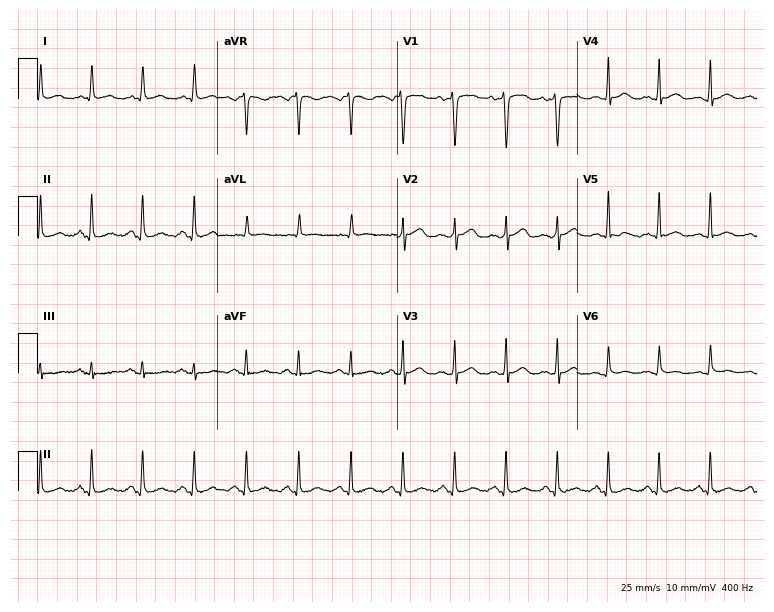
Electrocardiogram, a female, 48 years old. Interpretation includes sinus tachycardia (a sinus rate of 100 beats per minute or more).